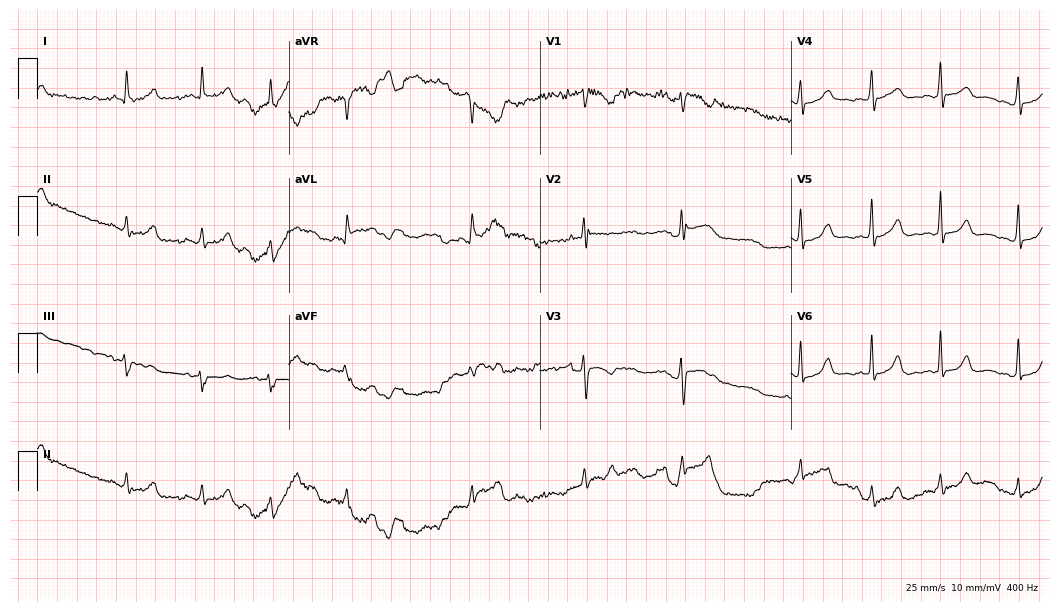
Standard 12-lead ECG recorded from a female patient, 28 years old (10.2-second recording at 400 Hz). None of these six findings is recorded: first-degree AV block, right bundle branch block (RBBB), left bundle branch block (LBBB), sinus bradycardia, atrial fibrillation (AF), sinus tachycardia.